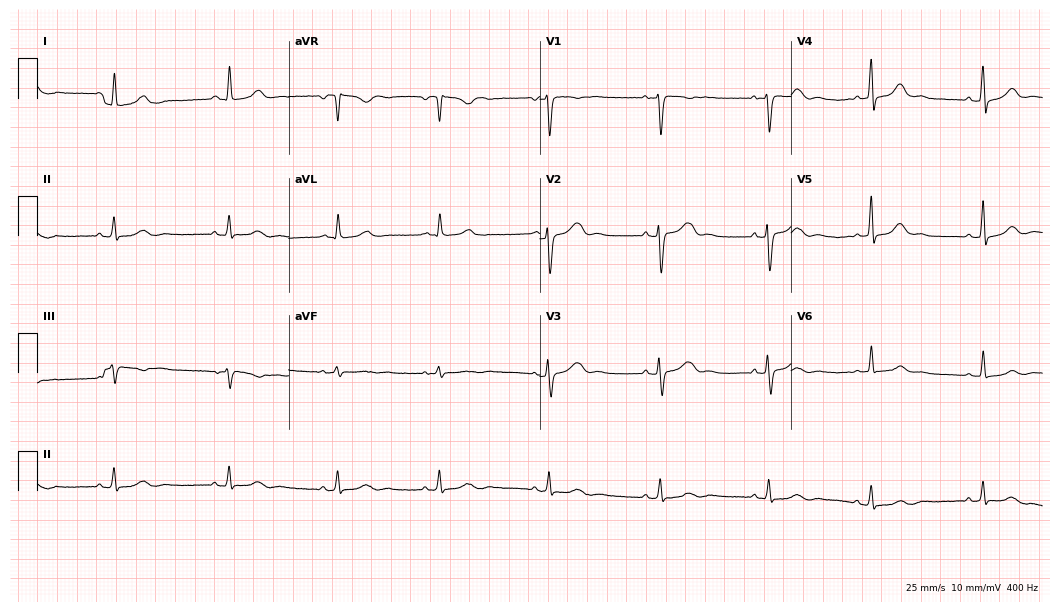
Standard 12-lead ECG recorded from a female, 36 years old (10.2-second recording at 400 Hz). Read as a normal ECG.